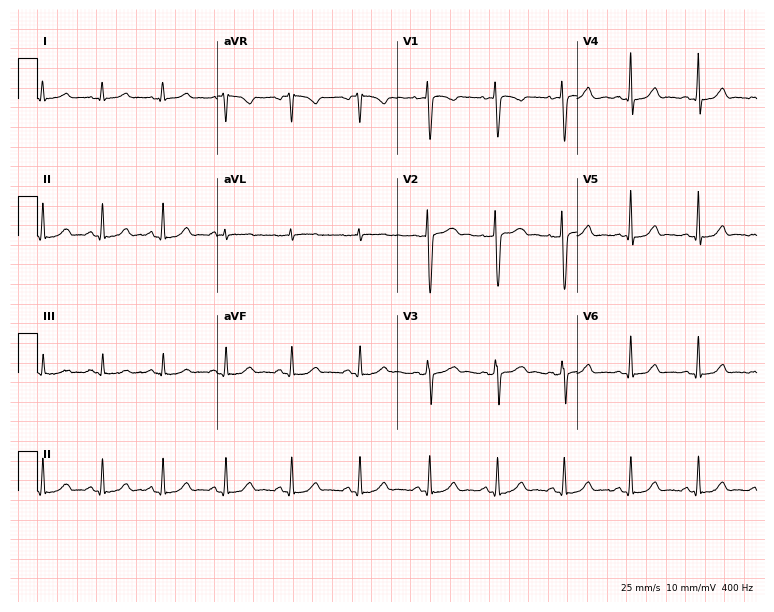
Resting 12-lead electrocardiogram (7.3-second recording at 400 Hz). Patient: a 43-year-old female. Read as a normal ECG.